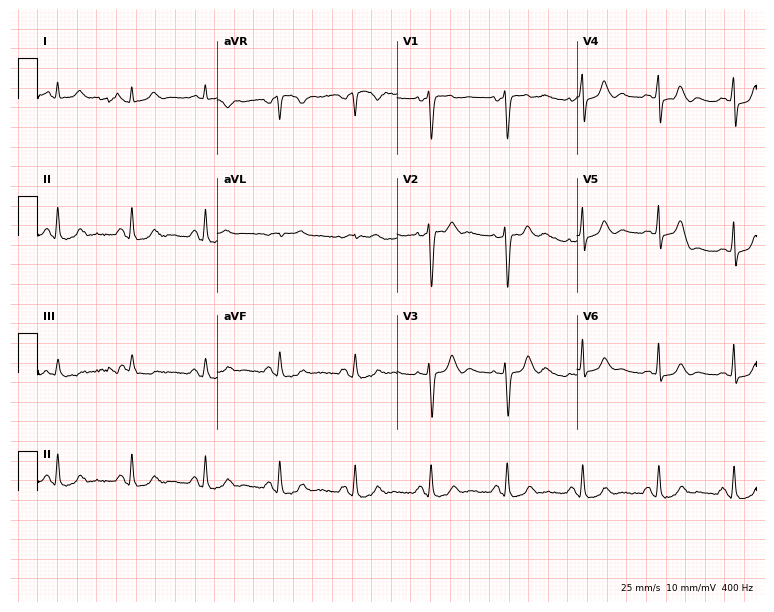
12-lead ECG from a woman, 48 years old. No first-degree AV block, right bundle branch block, left bundle branch block, sinus bradycardia, atrial fibrillation or sinus tachycardia recorded for this tracing. Only these six findings were labelled.